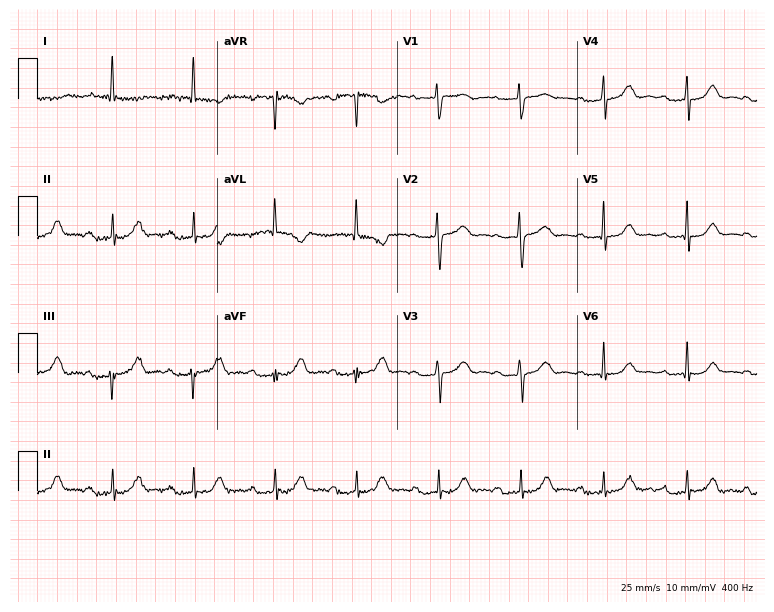
Resting 12-lead electrocardiogram (7.3-second recording at 400 Hz). Patient: a 79-year-old female. The tracing shows first-degree AV block.